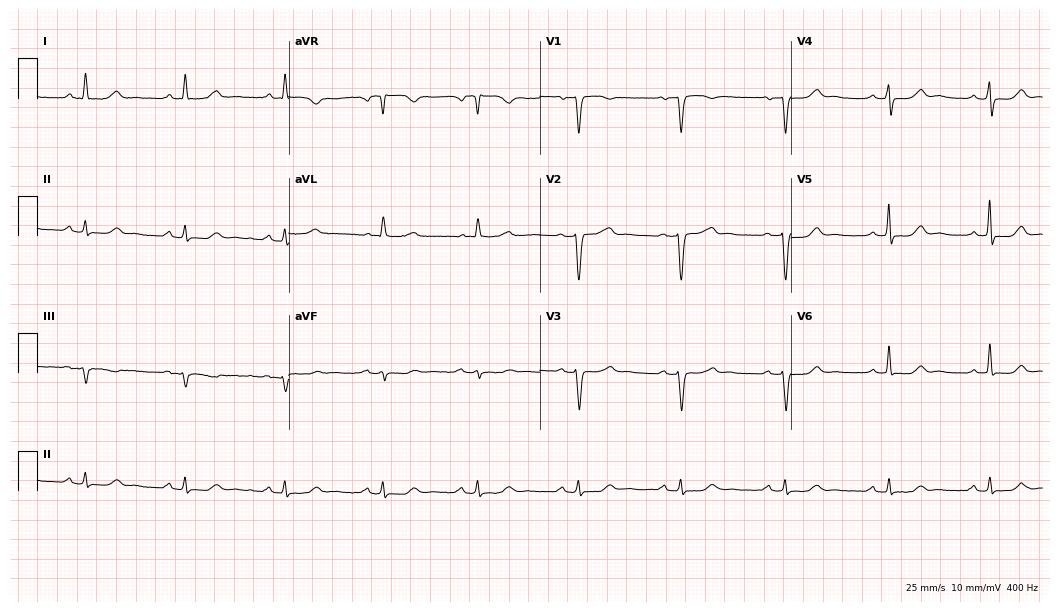
Standard 12-lead ECG recorded from a woman, 66 years old. None of these six findings is recorded: first-degree AV block, right bundle branch block, left bundle branch block, sinus bradycardia, atrial fibrillation, sinus tachycardia. Findings outside these six are not listed.